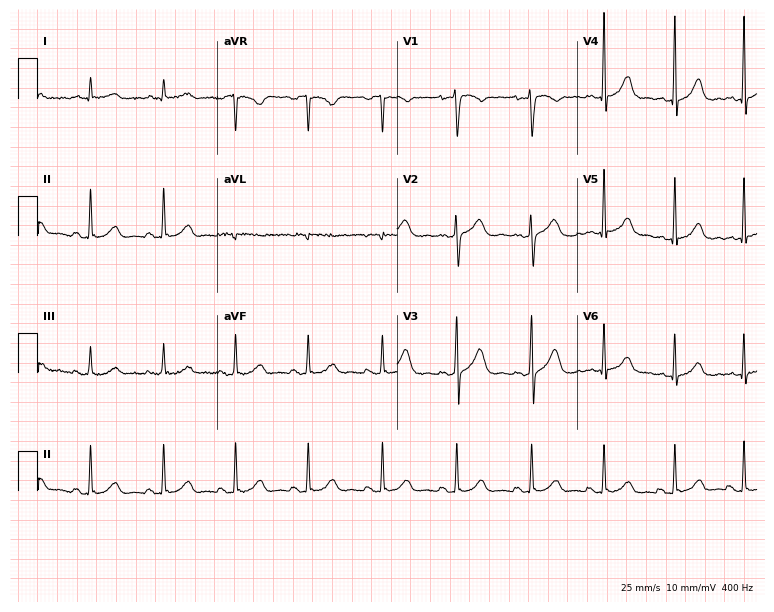
12-lead ECG from a female, 37 years old. Labelled as a normal ECG.